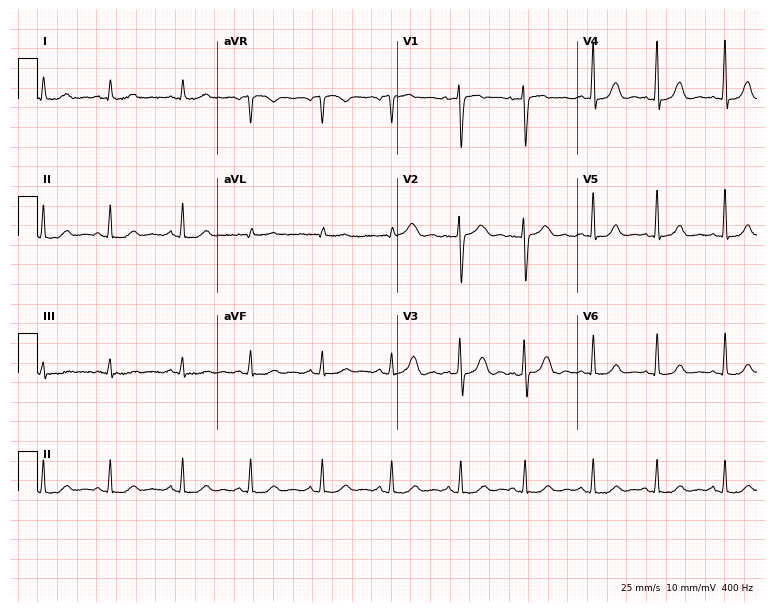
ECG — a female patient, 40 years old. Labelled as a normal ECG.